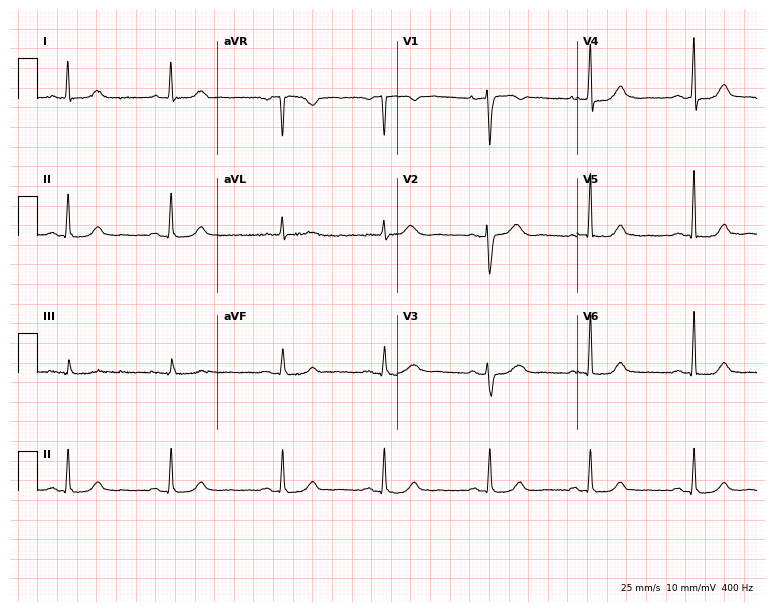
Electrocardiogram (7.3-second recording at 400 Hz), a 51-year-old woman. Overall reading on record: normal ECG.